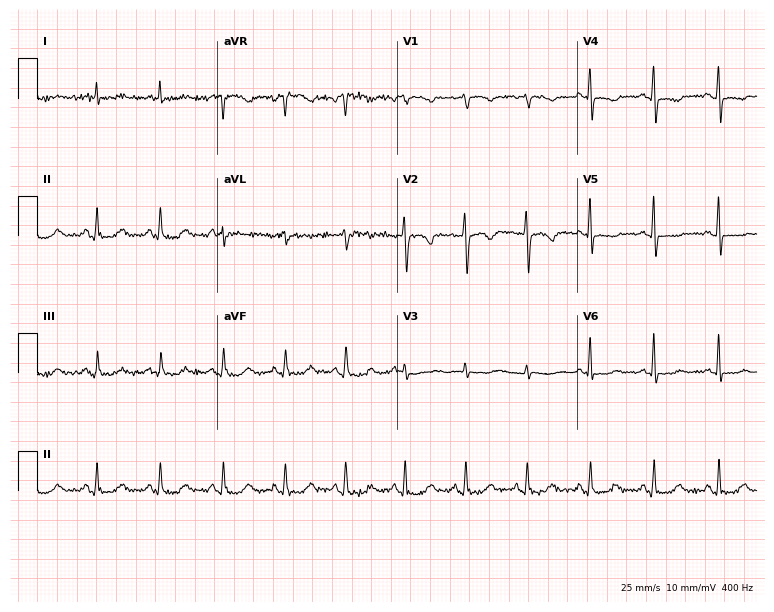
ECG (7.3-second recording at 400 Hz) — a female, 58 years old. Screened for six findings — first-degree AV block, right bundle branch block, left bundle branch block, sinus bradycardia, atrial fibrillation, sinus tachycardia — none is recorded. Findings outside these six are not listed.